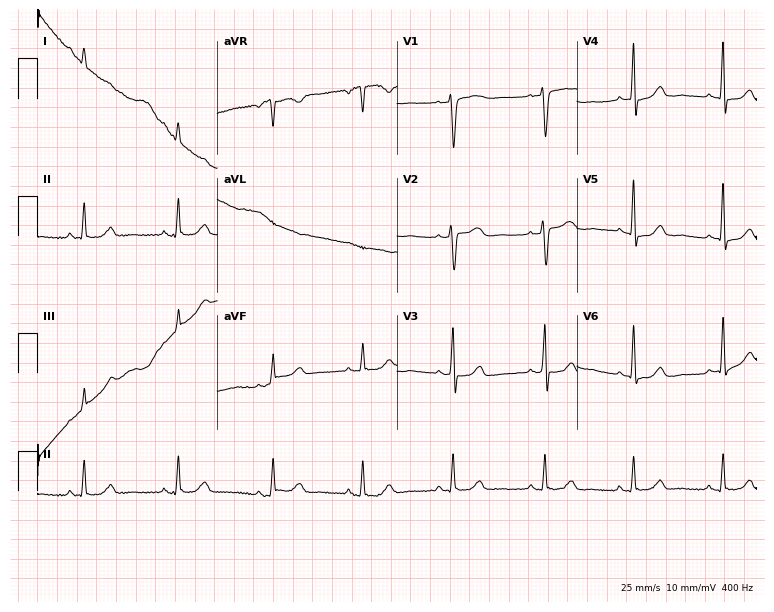
12-lead ECG (7.3-second recording at 400 Hz) from a female, 45 years old. Screened for six findings — first-degree AV block, right bundle branch block, left bundle branch block, sinus bradycardia, atrial fibrillation, sinus tachycardia — none is recorded.